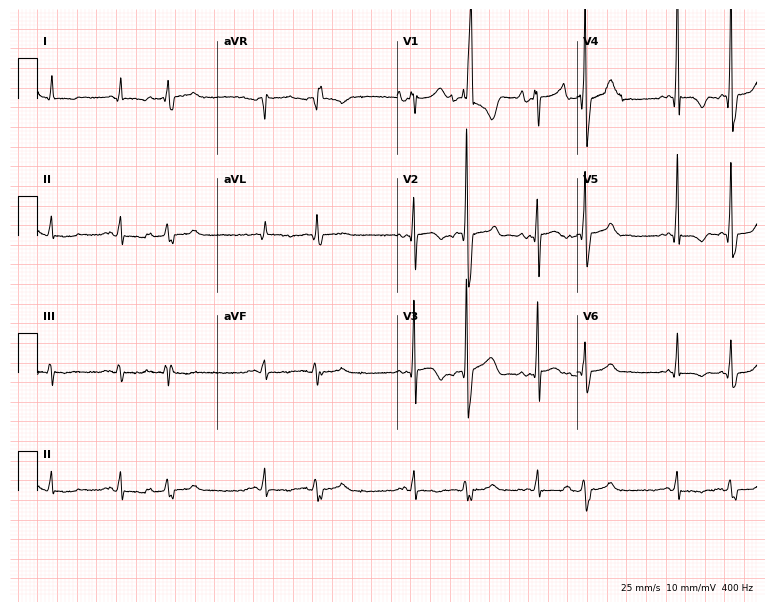
12-lead ECG from a female patient, 61 years old. No first-degree AV block, right bundle branch block, left bundle branch block, sinus bradycardia, atrial fibrillation or sinus tachycardia recorded for this tracing.